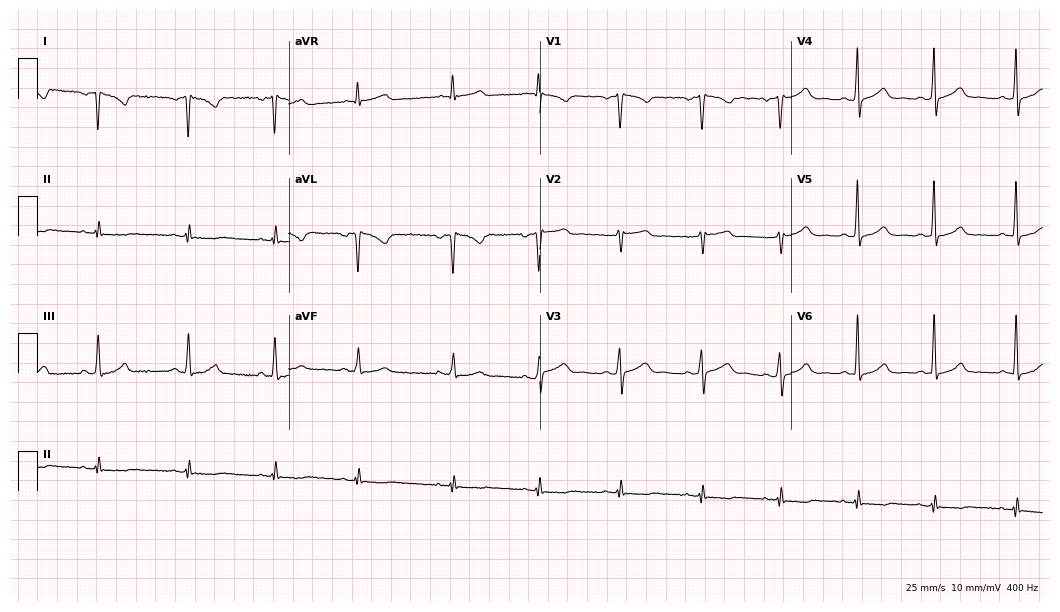
Electrocardiogram (10.2-second recording at 400 Hz), a 40-year-old female patient. Overall reading on record: normal ECG.